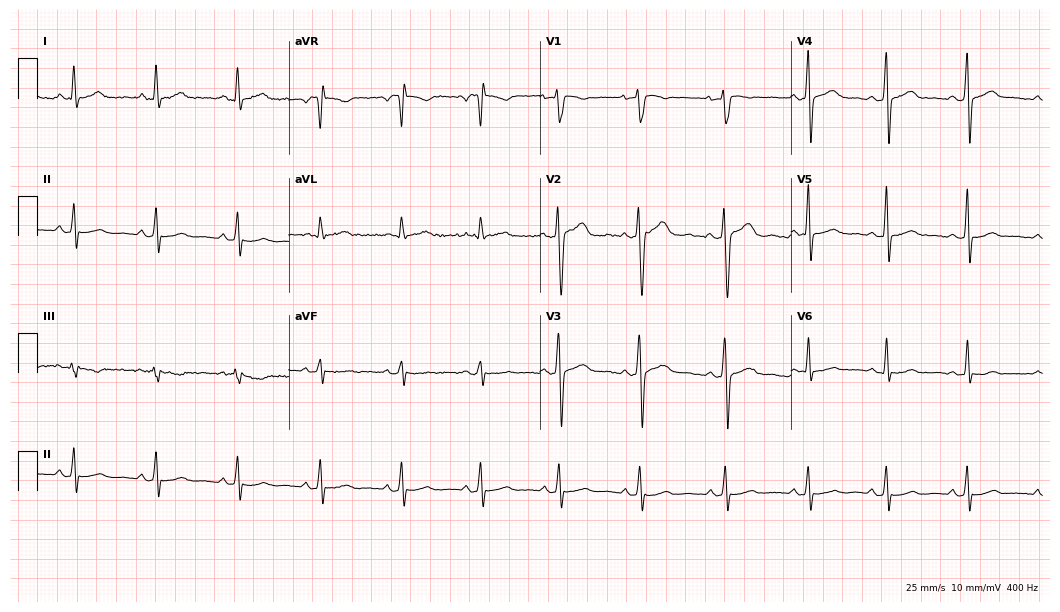
ECG — a female patient, 32 years old. Labelled as a normal ECG.